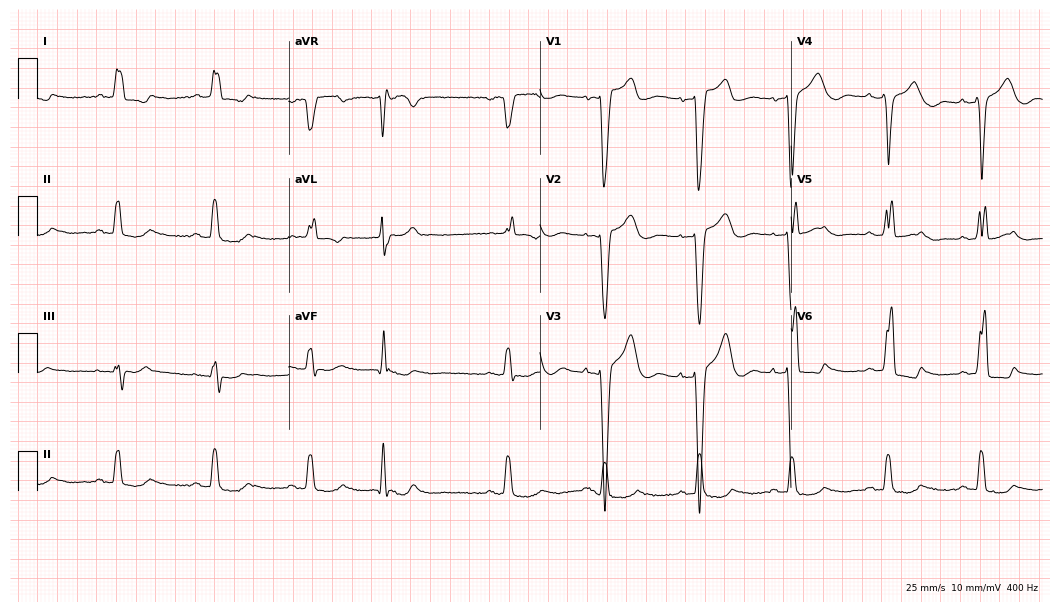
Standard 12-lead ECG recorded from a 77-year-old female. The tracing shows left bundle branch block (LBBB).